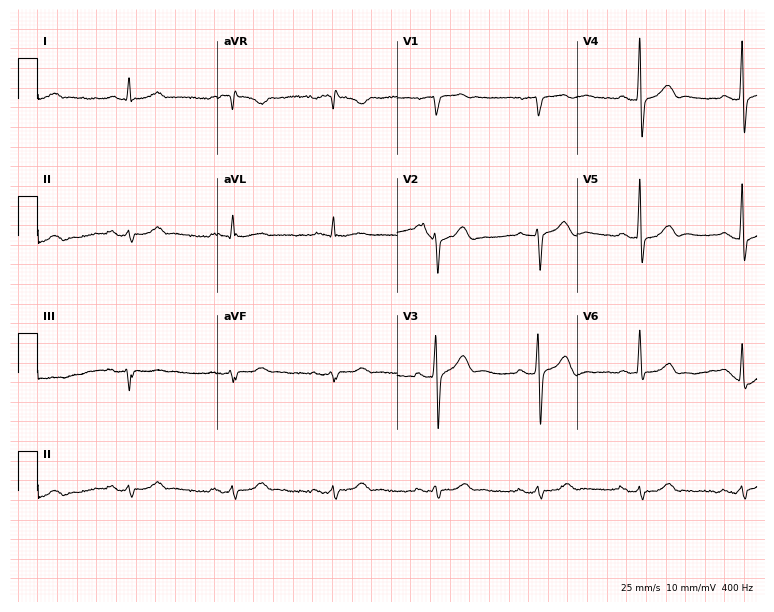
ECG — a 60-year-old man. Labelled as a normal ECG.